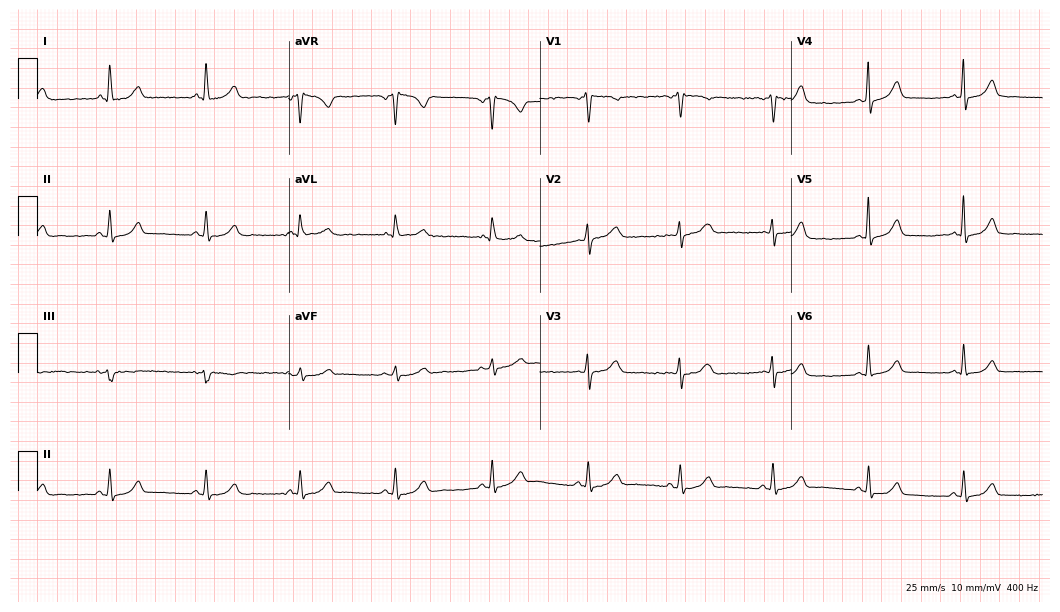
ECG (10.2-second recording at 400 Hz) — a male patient, 32 years old. Screened for six findings — first-degree AV block, right bundle branch block (RBBB), left bundle branch block (LBBB), sinus bradycardia, atrial fibrillation (AF), sinus tachycardia — none is recorded. Other findings, if any, are not listed.